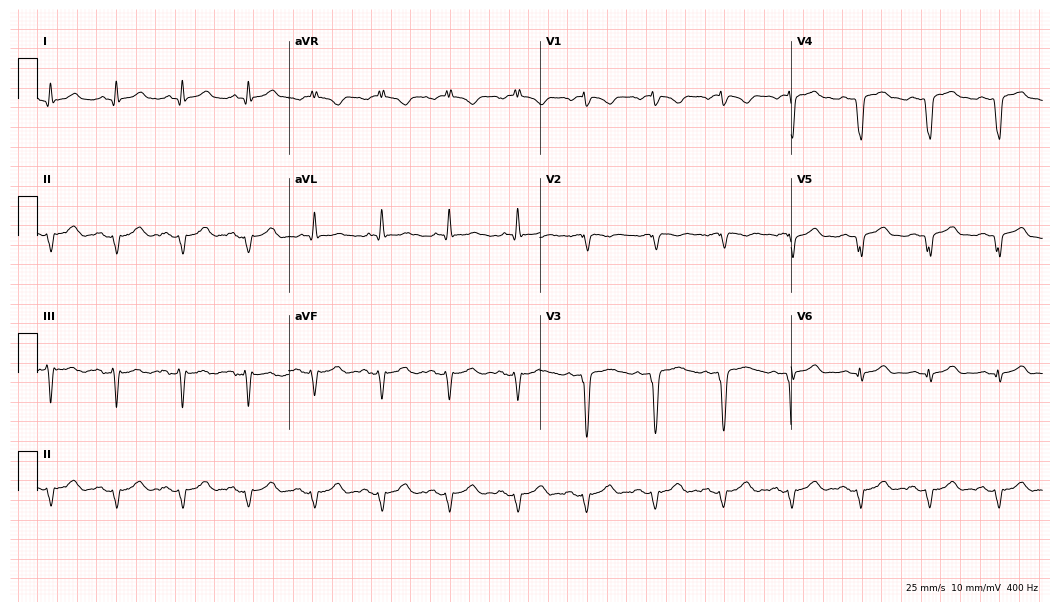
Resting 12-lead electrocardiogram (10.2-second recording at 400 Hz). Patient: a man, 79 years old. None of these six findings is recorded: first-degree AV block, right bundle branch block, left bundle branch block, sinus bradycardia, atrial fibrillation, sinus tachycardia.